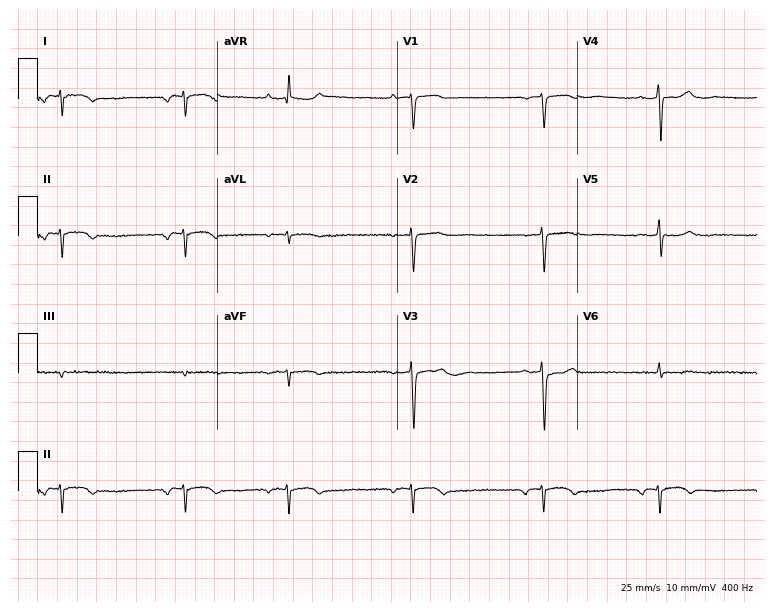
Electrocardiogram (7.3-second recording at 400 Hz), a male patient, 80 years old. Of the six screened findings (first-degree AV block, right bundle branch block, left bundle branch block, sinus bradycardia, atrial fibrillation, sinus tachycardia), none is recorded. Other findings, if any, are not listed.